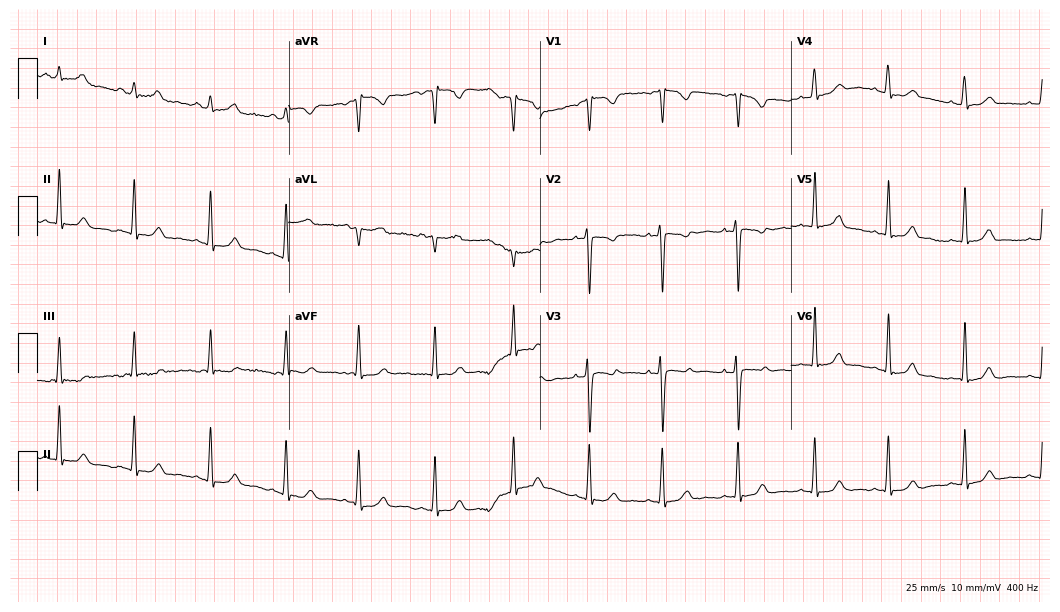
Resting 12-lead electrocardiogram. Patient: a 25-year-old woman. Read as a normal ECG.